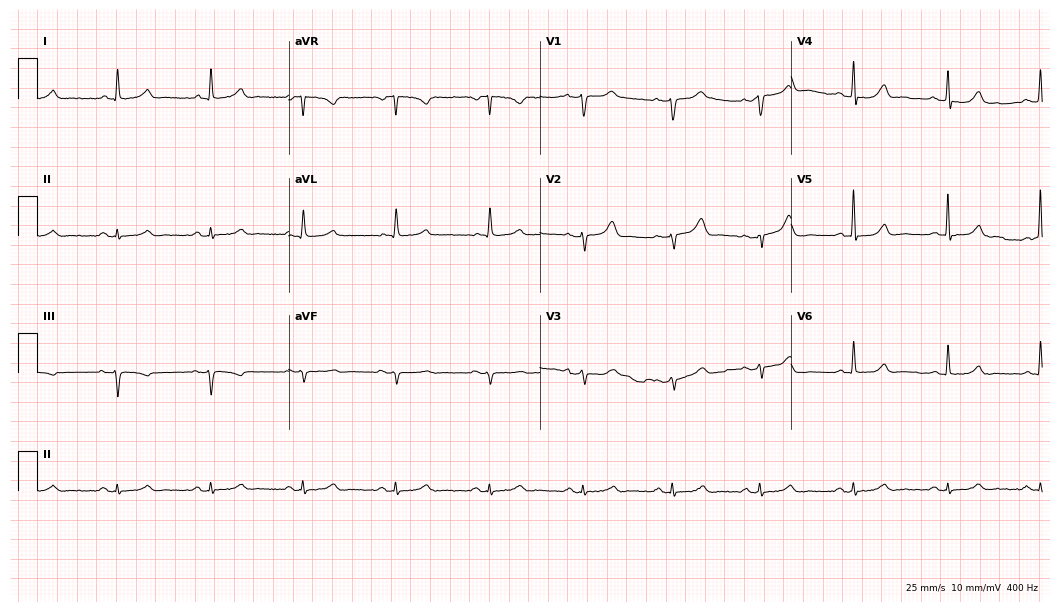
Resting 12-lead electrocardiogram (10.2-second recording at 400 Hz). Patient: a woman, 62 years old. Read as a normal ECG.